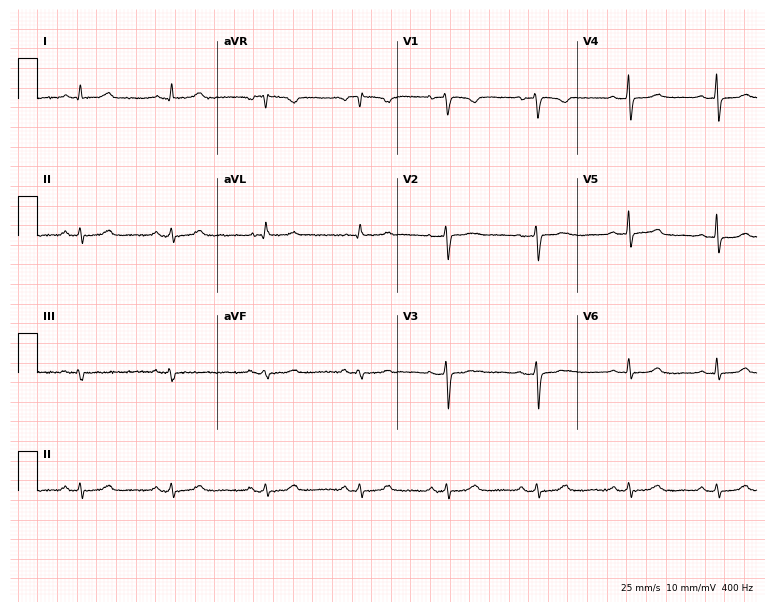
Electrocardiogram, a female patient, 41 years old. Of the six screened findings (first-degree AV block, right bundle branch block (RBBB), left bundle branch block (LBBB), sinus bradycardia, atrial fibrillation (AF), sinus tachycardia), none is recorded. Other findings, if any, are not listed.